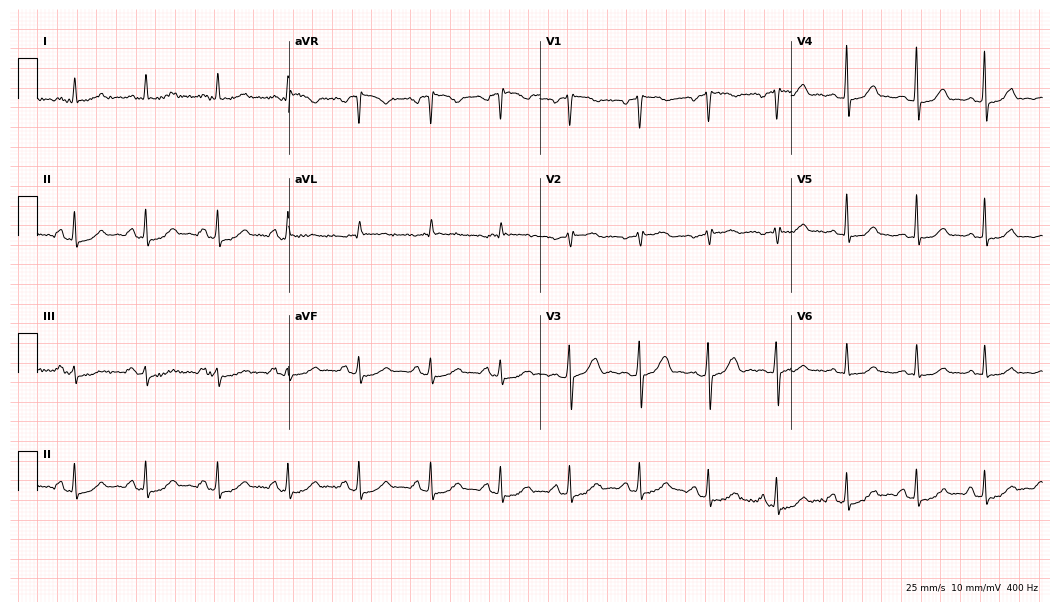
Resting 12-lead electrocardiogram. Patient: a 56-year-old woman. Read as a normal ECG.